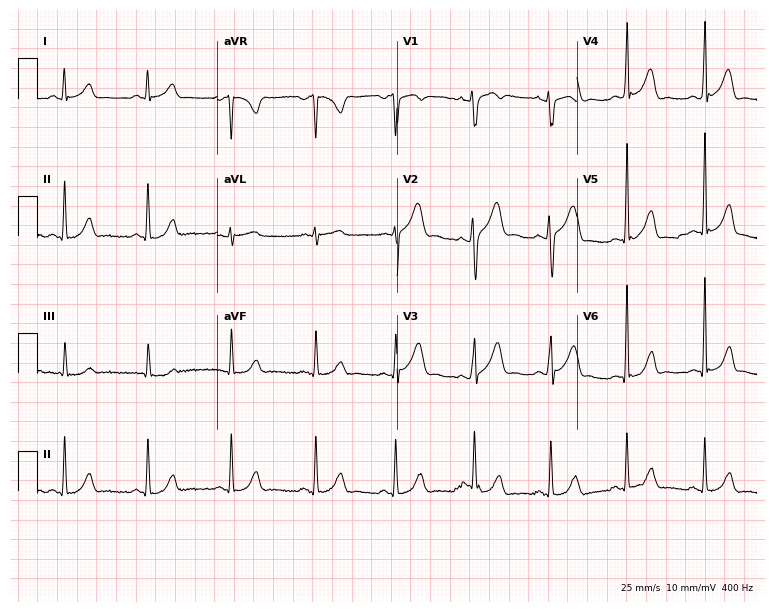
12-lead ECG (7.3-second recording at 400 Hz) from a male patient, 21 years old. Screened for six findings — first-degree AV block, right bundle branch block (RBBB), left bundle branch block (LBBB), sinus bradycardia, atrial fibrillation (AF), sinus tachycardia — none is recorded.